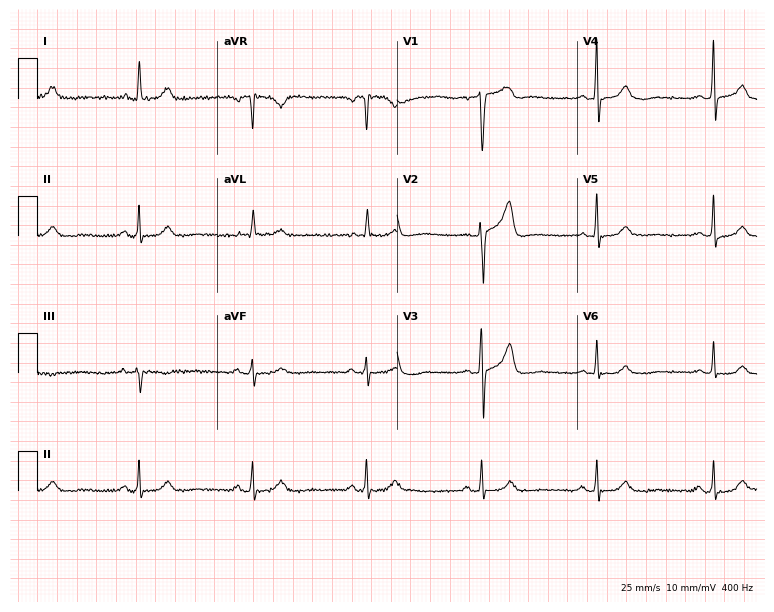
Standard 12-lead ECG recorded from a male patient, 64 years old (7.3-second recording at 400 Hz). None of these six findings is recorded: first-degree AV block, right bundle branch block, left bundle branch block, sinus bradycardia, atrial fibrillation, sinus tachycardia. Findings outside these six are not listed.